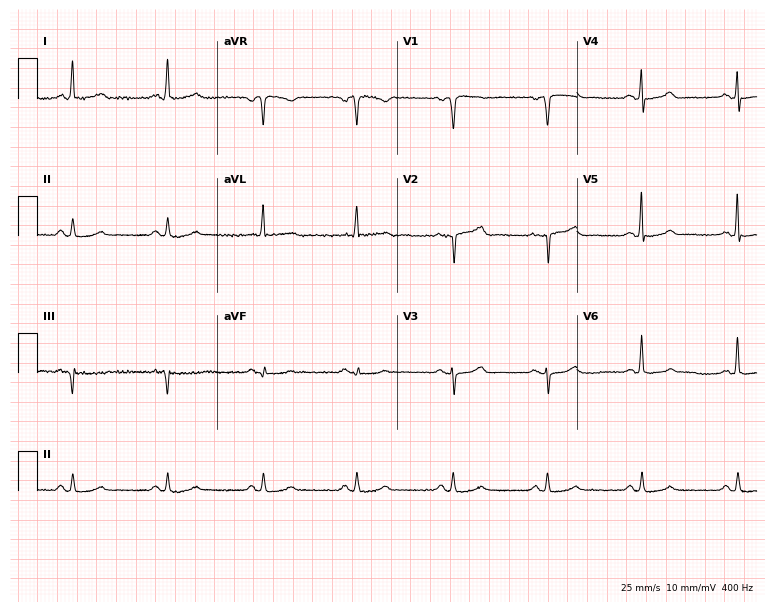
12-lead ECG from a 64-year-old female. Screened for six findings — first-degree AV block, right bundle branch block, left bundle branch block, sinus bradycardia, atrial fibrillation, sinus tachycardia — none is recorded.